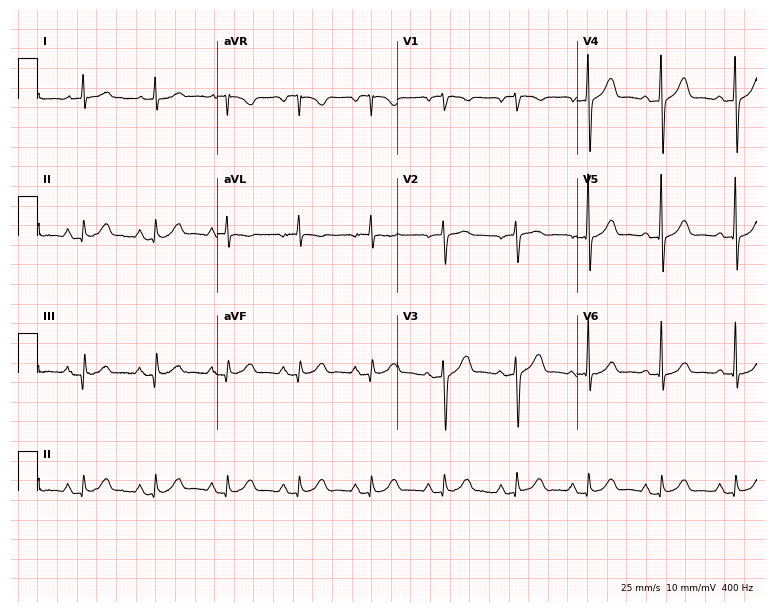
Resting 12-lead electrocardiogram (7.3-second recording at 400 Hz). Patient: a man, 79 years old. None of these six findings is recorded: first-degree AV block, right bundle branch block, left bundle branch block, sinus bradycardia, atrial fibrillation, sinus tachycardia. Only these six findings were labelled.